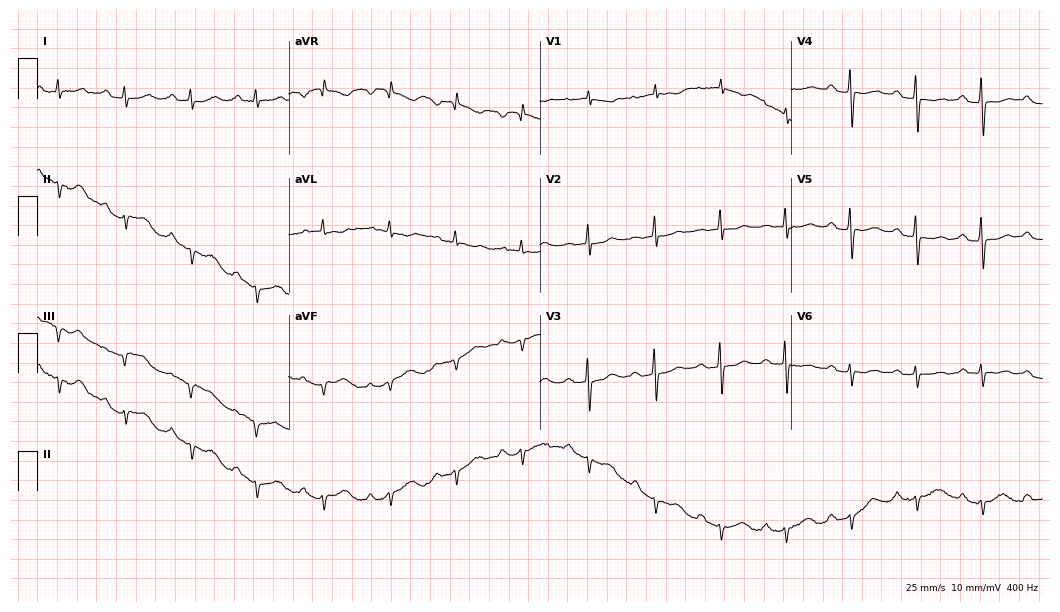
Resting 12-lead electrocardiogram (10.2-second recording at 400 Hz). Patient: a woman, 78 years old. None of these six findings is recorded: first-degree AV block, right bundle branch block, left bundle branch block, sinus bradycardia, atrial fibrillation, sinus tachycardia.